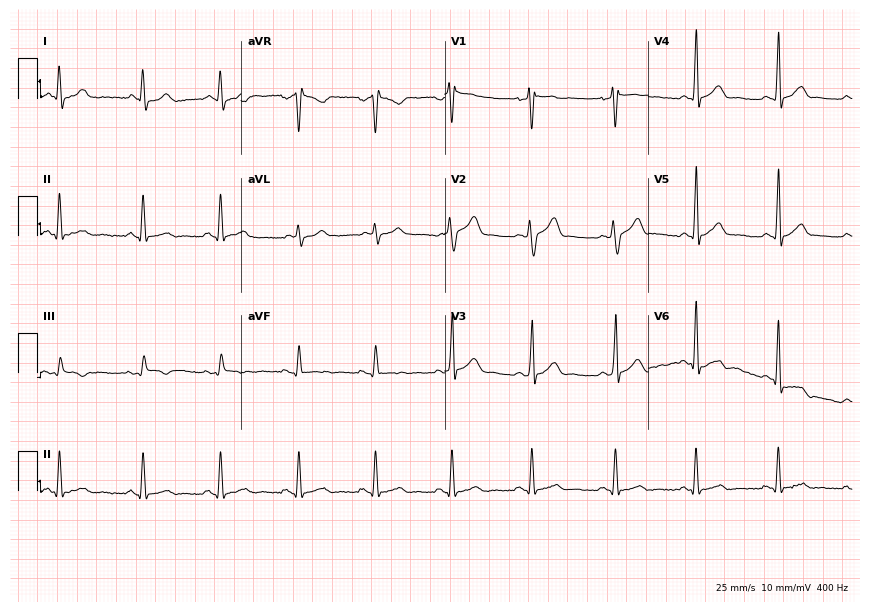
Electrocardiogram, a 46-year-old male patient. Overall reading on record: normal ECG.